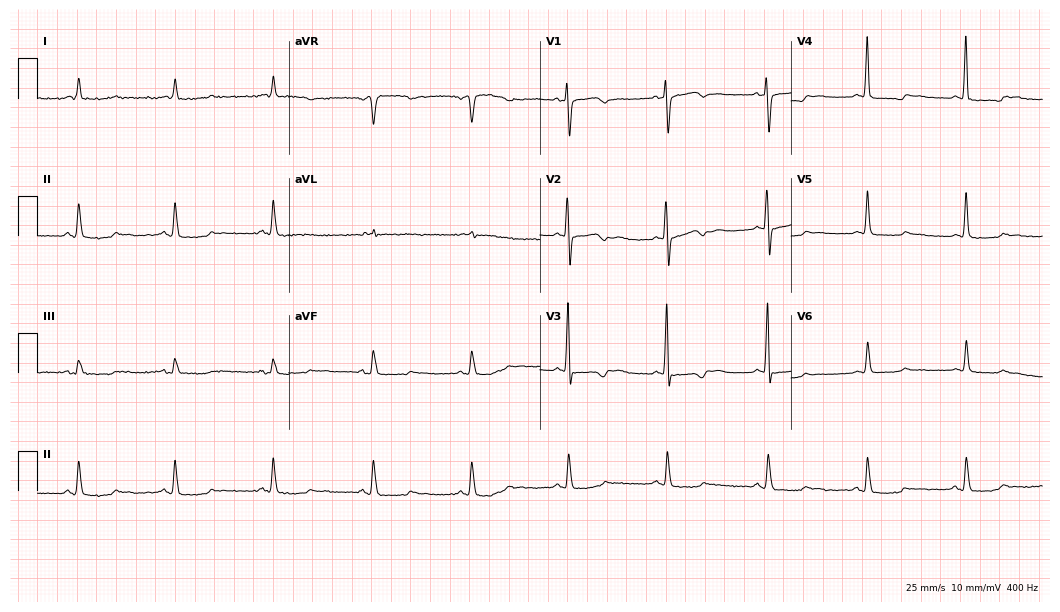
Standard 12-lead ECG recorded from a female patient, 80 years old (10.2-second recording at 400 Hz). None of these six findings is recorded: first-degree AV block, right bundle branch block (RBBB), left bundle branch block (LBBB), sinus bradycardia, atrial fibrillation (AF), sinus tachycardia.